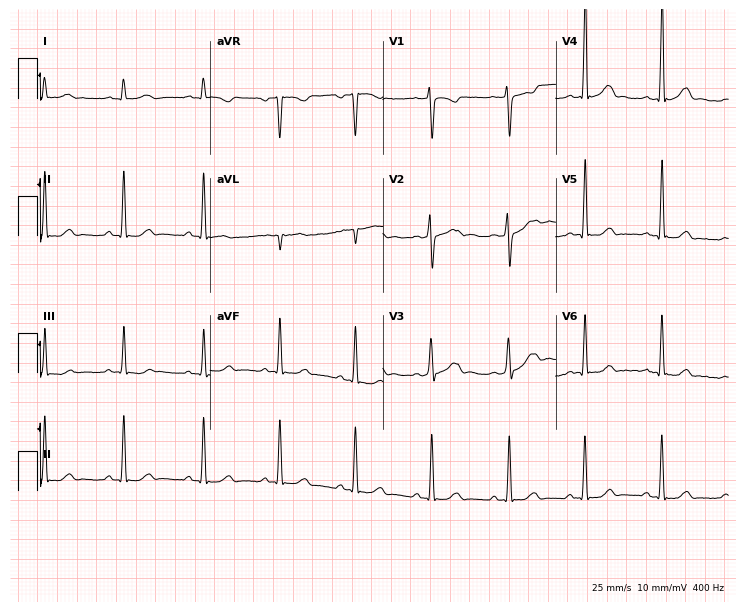
ECG — a 25-year-old female patient. Labelled as a normal ECG.